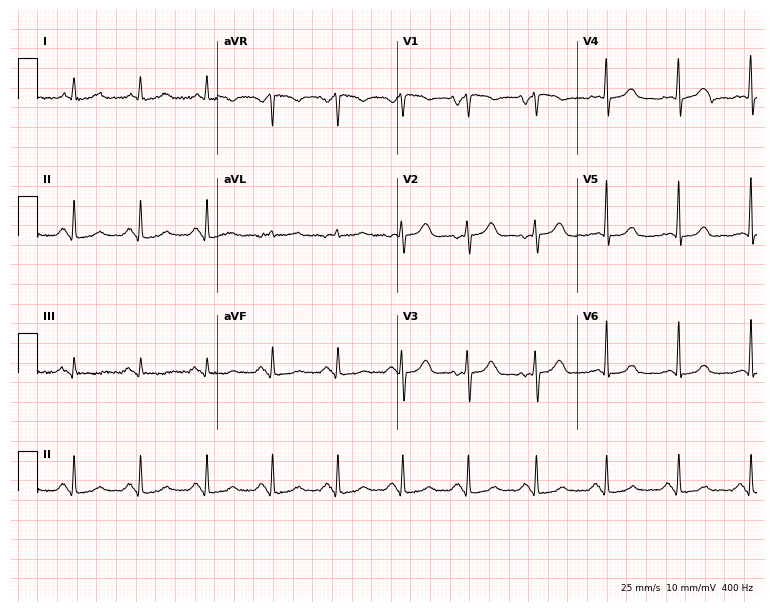
Resting 12-lead electrocardiogram. Patient: a female, 62 years old. None of these six findings is recorded: first-degree AV block, right bundle branch block, left bundle branch block, sinus bradycardia, atrial fibrillation, sinus tachycardia.